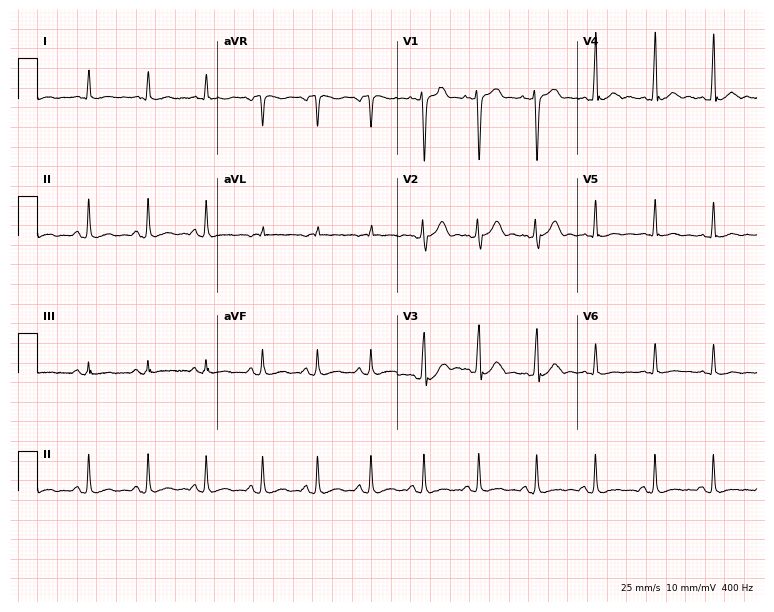
ECG (7.3-second recording at 400 Hz) — a male, 35 years old. Findings include sinus tachycardia (a sinus rate of 100 beats per minute or more).